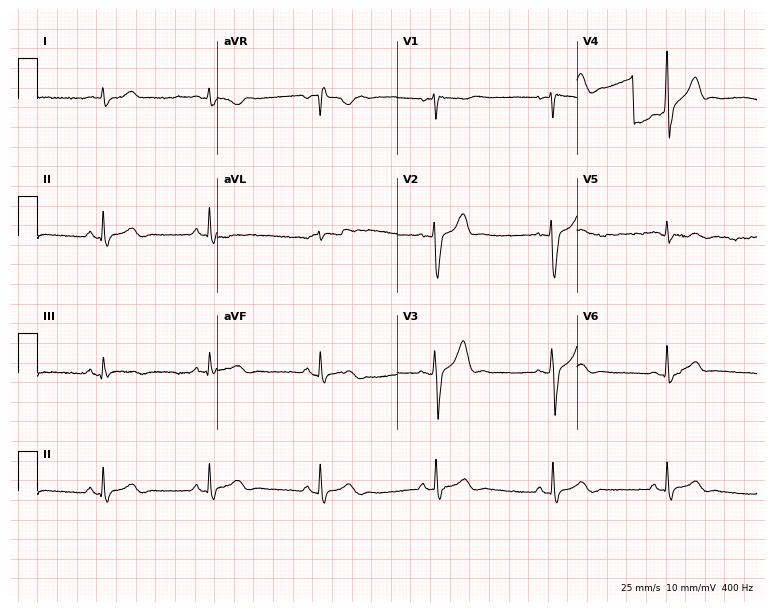
12-lead ECG from a 33-year-old male (7.3-second recording at 400 Hz). Recorded interpretation: within normal limits.